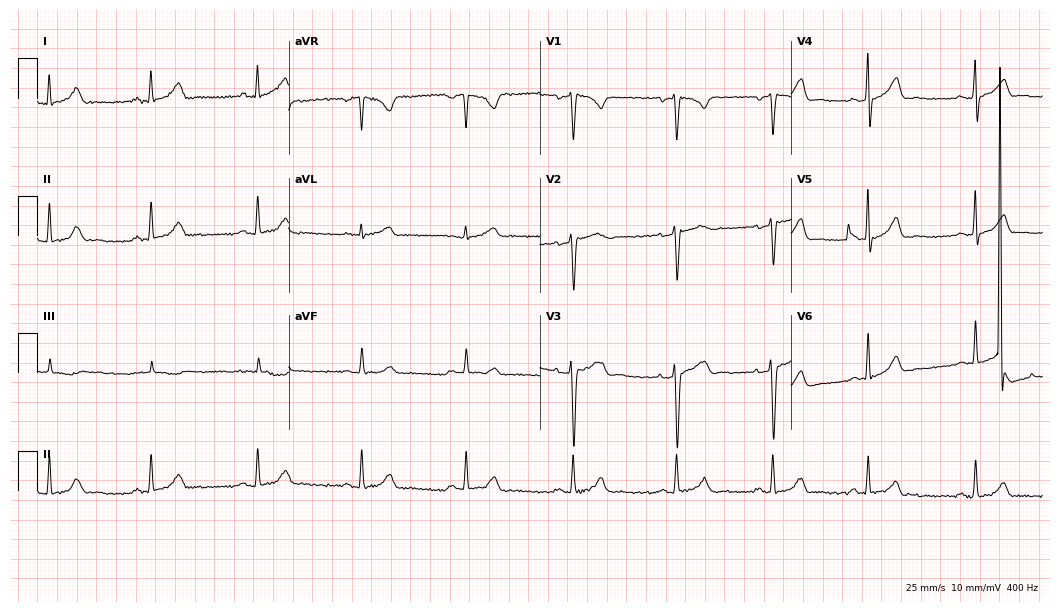
Electrocardiogram, a 34-year-old female. Of the six screened findings (first-degree AV block, right bundle branch block (RBBB), left bundle branch block (LBBB), sinus bradycardia, atrial fibrillation (AF), sinus tachycardia), none is recorded.